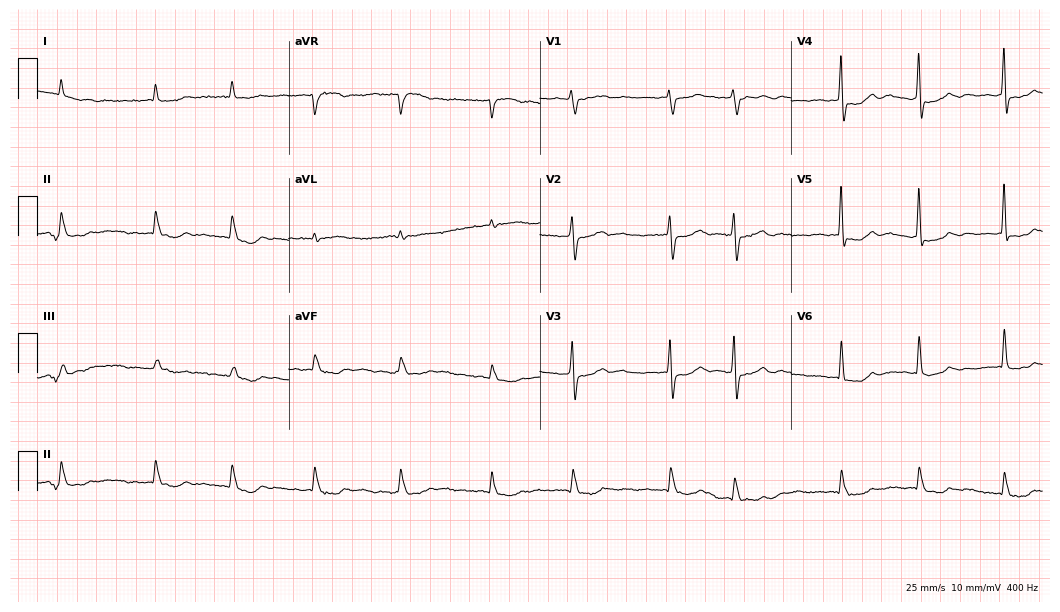
Electrocardiogram, an 84-year-old woman. Of the six screened findings (first-degree AV block, right bundle branch block, left bundle branch block, sinus bradycardia, atrial fibrillation, sinus tachycardia), none is recorded. Only these six findings were labelled.